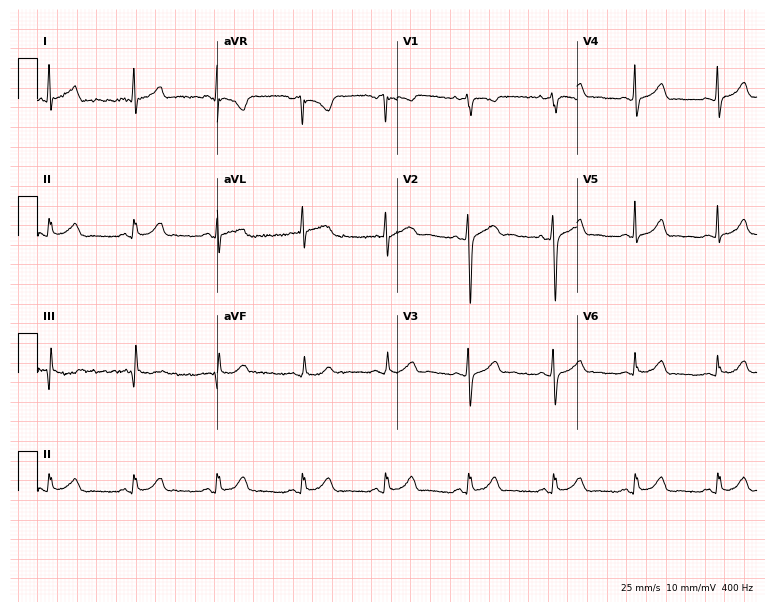
Resting 12-lead electrocardiogram (7.3-second recording at 400 Hz). Patient: a female, 60 years old. Read as a normal ECG.